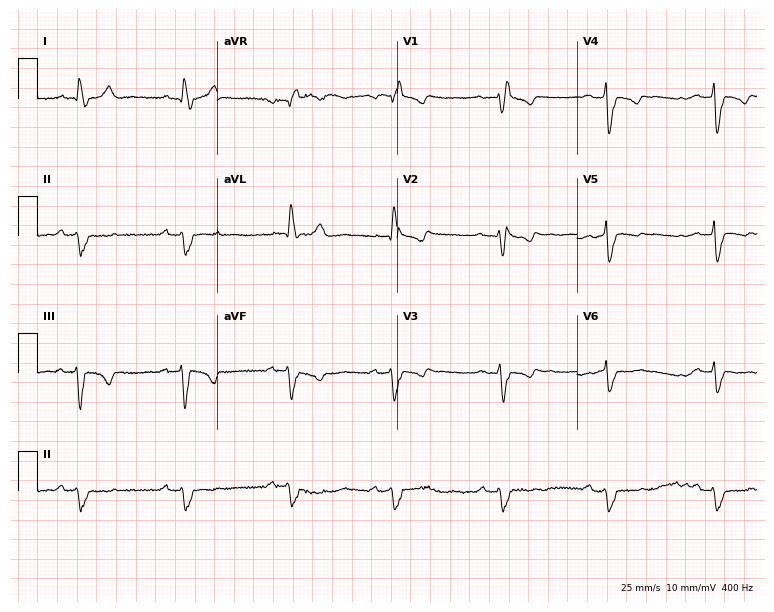
Electrocardiogram (7.3-second recording at 400 Hz), a 59-year-old woman. Of the six screened findings (first-degree AV block, right bundle branch block, left bundle branch block, sinus bradycardia, atrial fibrillation, sinus tachycardia), none is recorded.